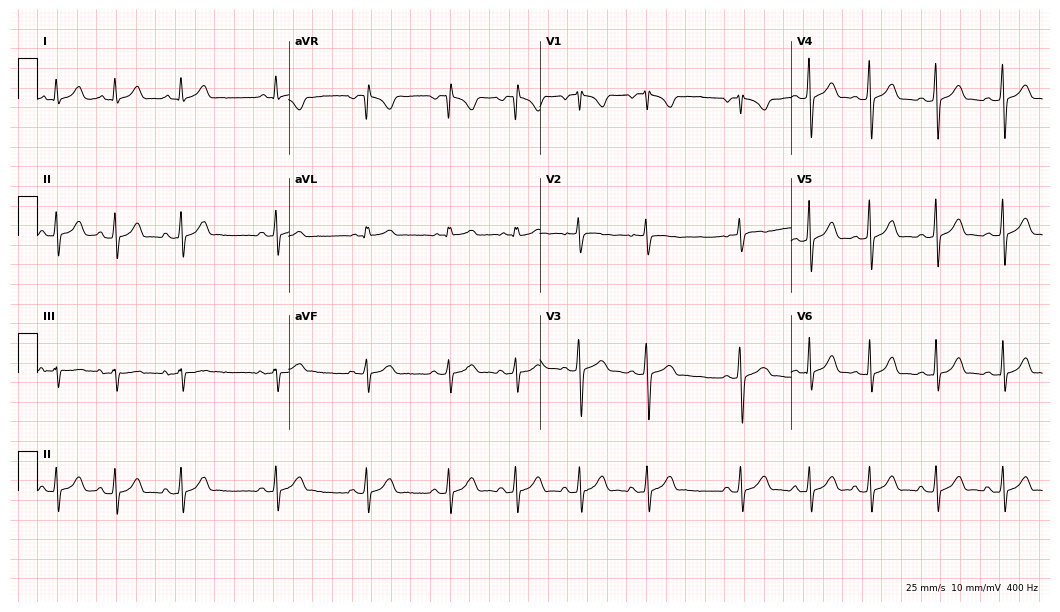
Resting 12-lead electrocardiogram. Patient: an 18-year-old female. Read as a normal ECG.